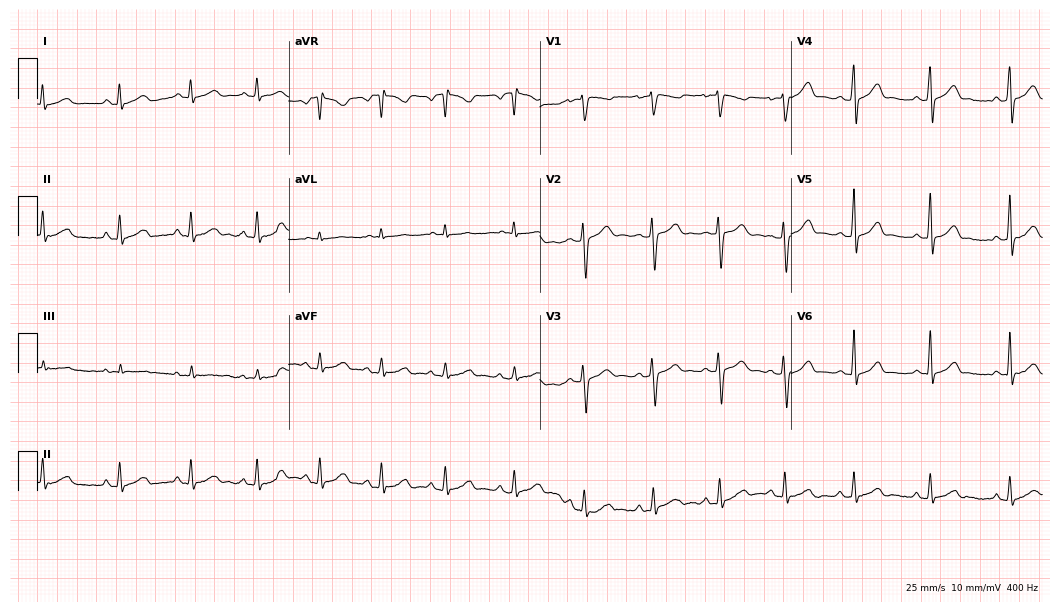
12-lead ECG from a female, 24 years old. Recorded interpretation: within normal limits.